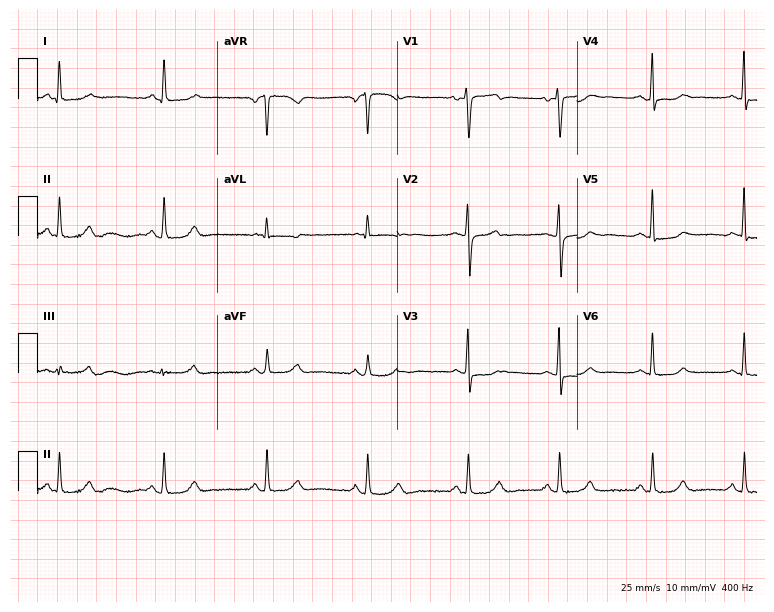
12-lead ECG (7.3-second recording at 400 Hz) from a female, 50 years old. Labelled as a normal ECG.